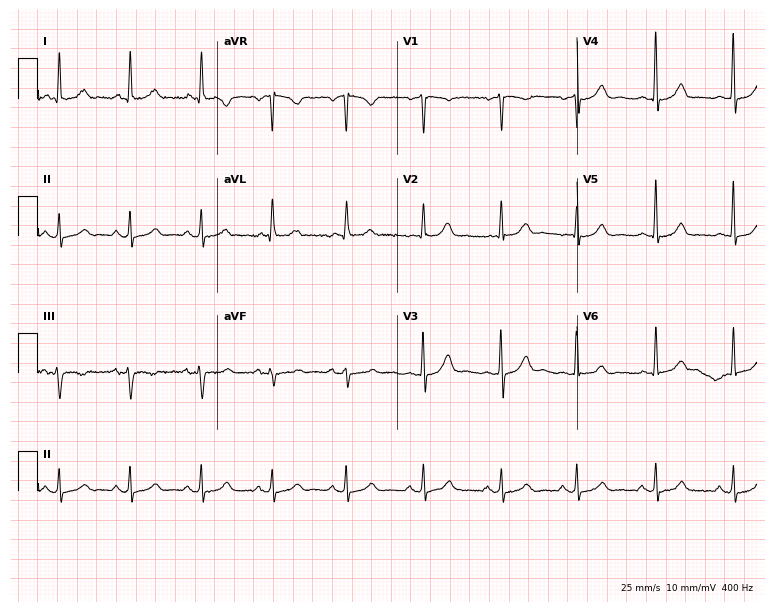
12-lead ECG from a 49-year-old female. Labelled as a normal ECG.